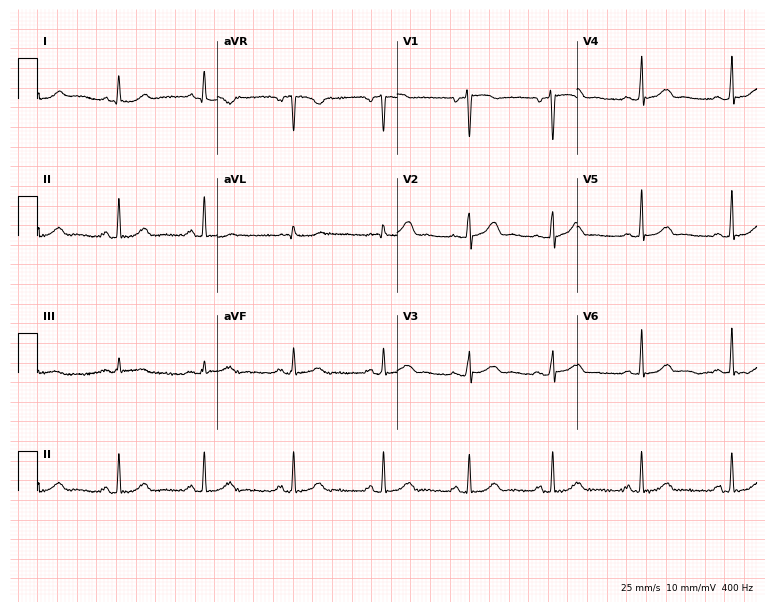
ECG (7.3-second recording at 400 Hz) — a 44-year-old female. Labelled as a normal ECG.